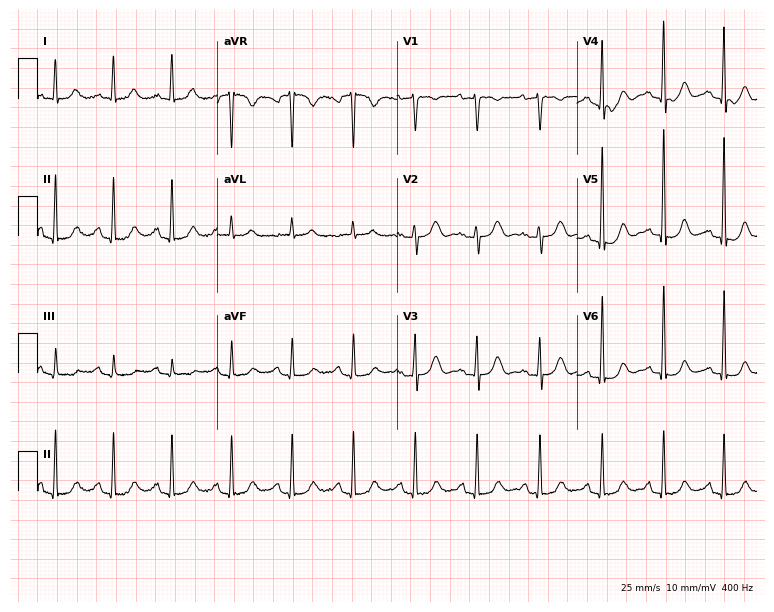
ECG (7.3-second recording at 400 Hz) — a 69-year-old woman. Labelled as a normal ECG.